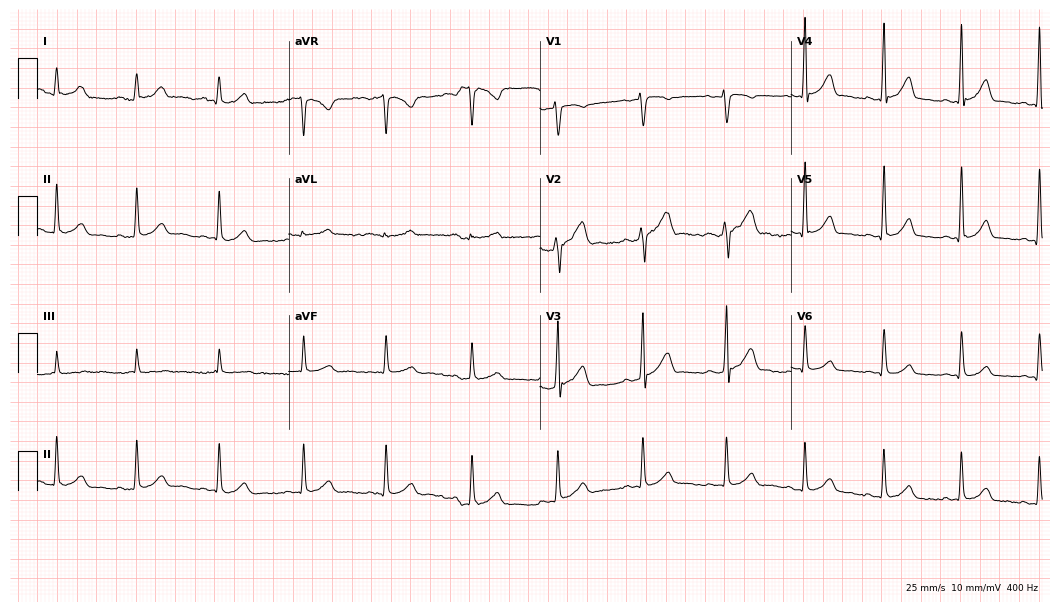
Resting 12-lead electrocardiogram (10.2-second recording at 400 Hz). Patient: a 27-year-old male. Read as a normal ECG.